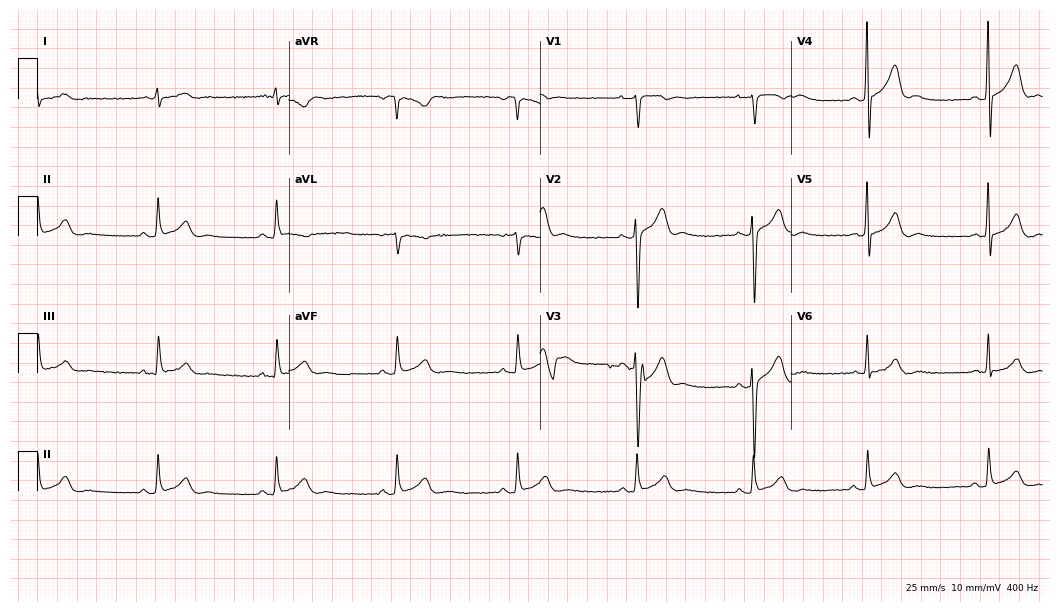
ECG (10.2-second recording at 400 Hz) — a 32-year-old male. Screened for six findings — first-degree AV block, right bundle branch block, left bundle branch block, sinus bradycardia, atrial fibrillation, sinus tachycardia — none is recorded. Findings outside these six are not listed.